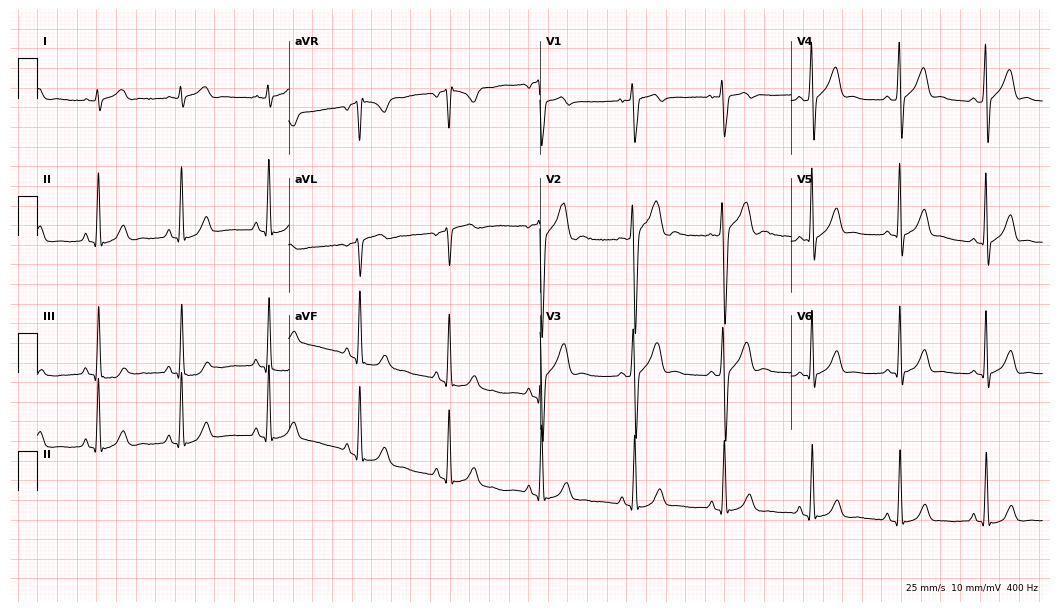
ECG (10.2-second recording at 400 Hz) — a man, 22 years old. Labelled as a normal ECG.